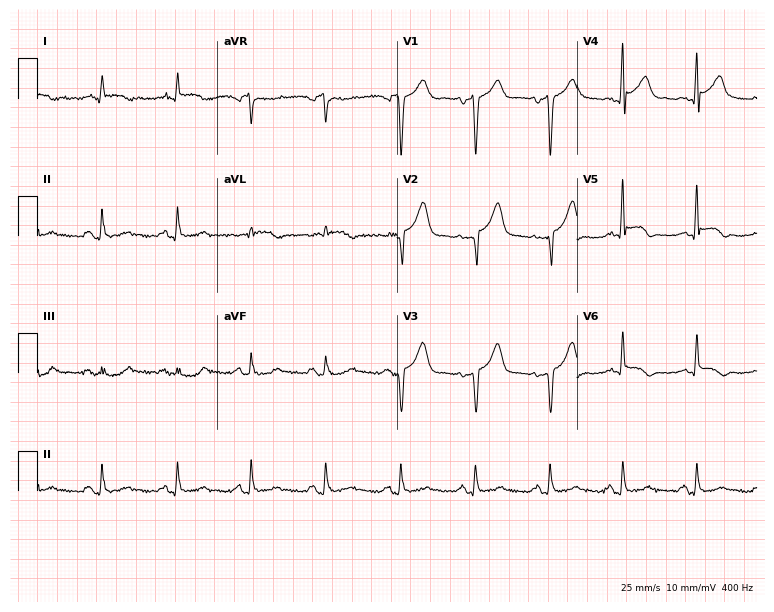
12-lead ECG from a male, 66 years old (7.3-second recording at 400 Hz). No first-degree AV block, right bundle branch block (RBBB), left bundle branch block (LBBB), sinus bradycardia, atrial fibrillation (AF) or sinus tachycardia recorded for this tracing. Findings outside these six are not listed.